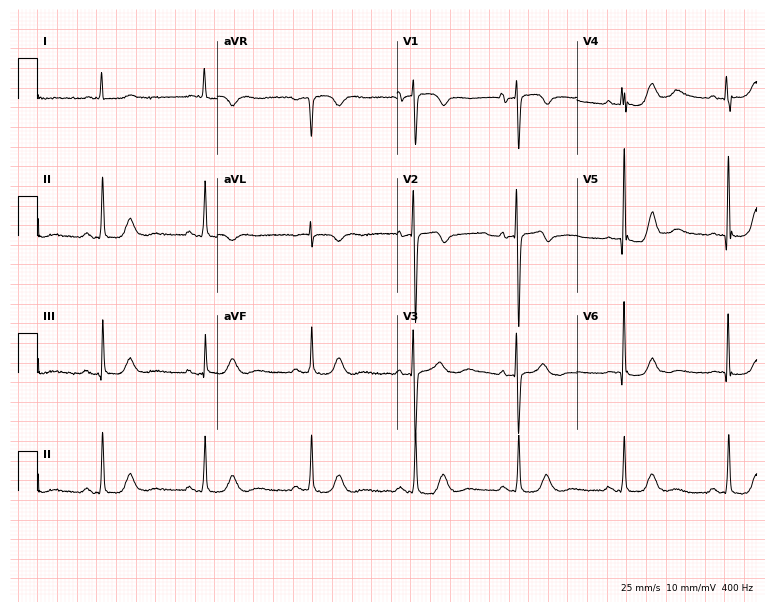
Resting 12-lead electrocardiogram. Patient: a woman, 77 years old. None of these six findings is recorded: first-degree AV block, right bundle branch block, left bundle branch block, sinus bradycardia, atrial fibrillation, sinus tachycardia.